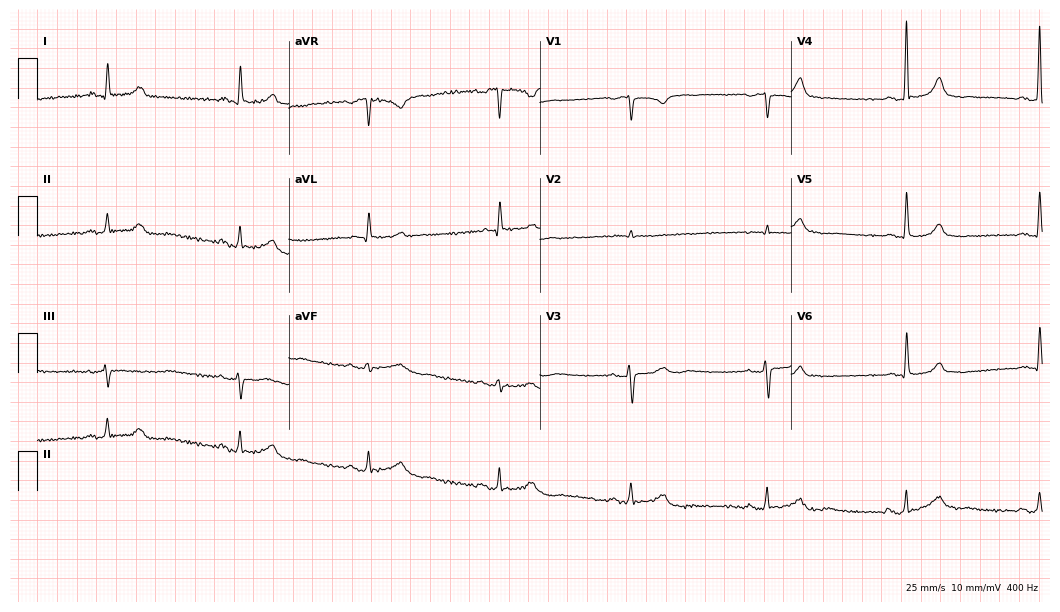
12-lead ECG (10.2-second recording at 400 Hz) from a 64-year-old female. Findings include sinus bradycardia (a sinus rate of 50 beats per minute or less).